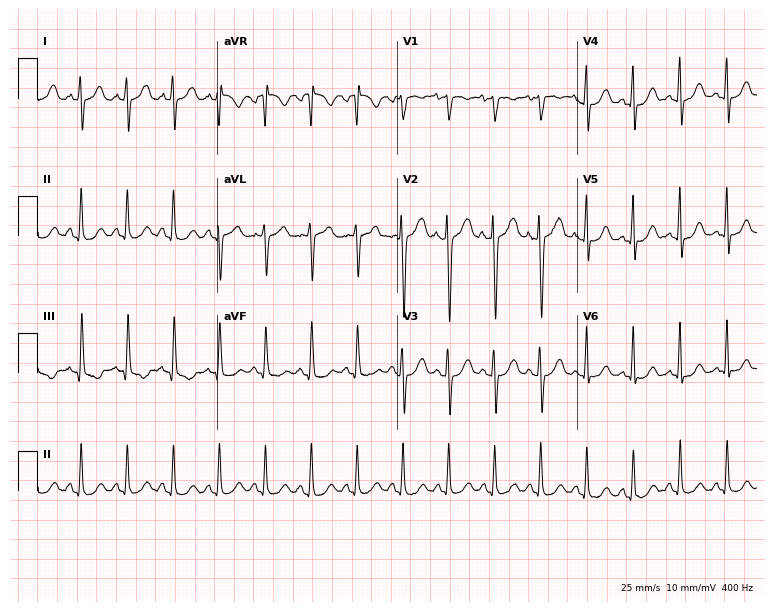
Standard 12-lead ECG recorded from a female patient, 21 years old. None of these six findings is recorded: first-degree AV block, right bundle branch block, left bundle branch block, sinus bradycardia, atrial fibrillation, sinus tachycardia. Only these six findings were labelled.